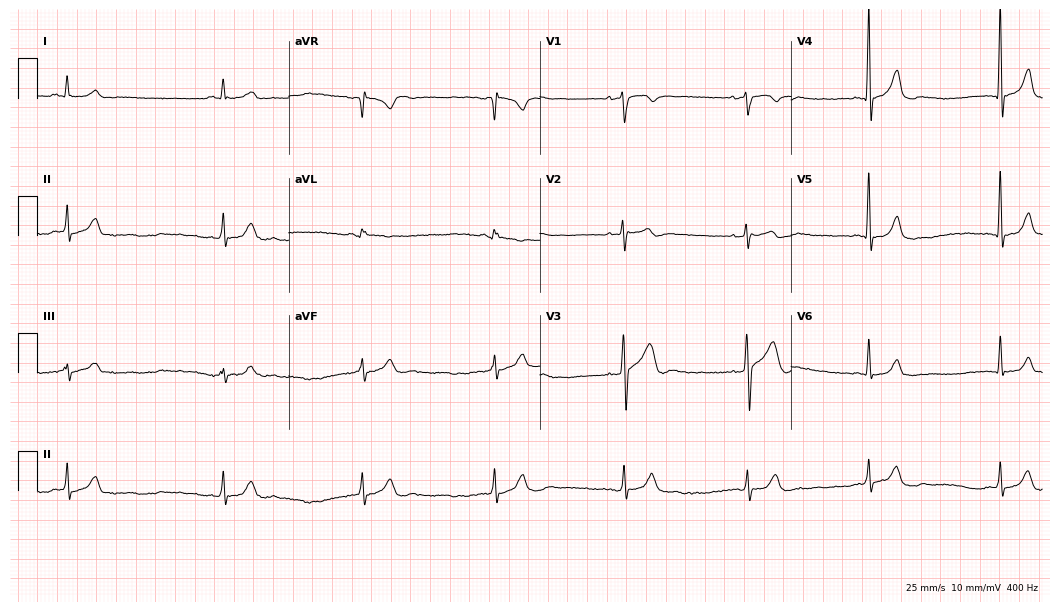
Standard 12-lead ECG recorded from a man, 43 years old. The tracing shows sinus bradycardia (a sinus rate of 50 beats per minute or less).